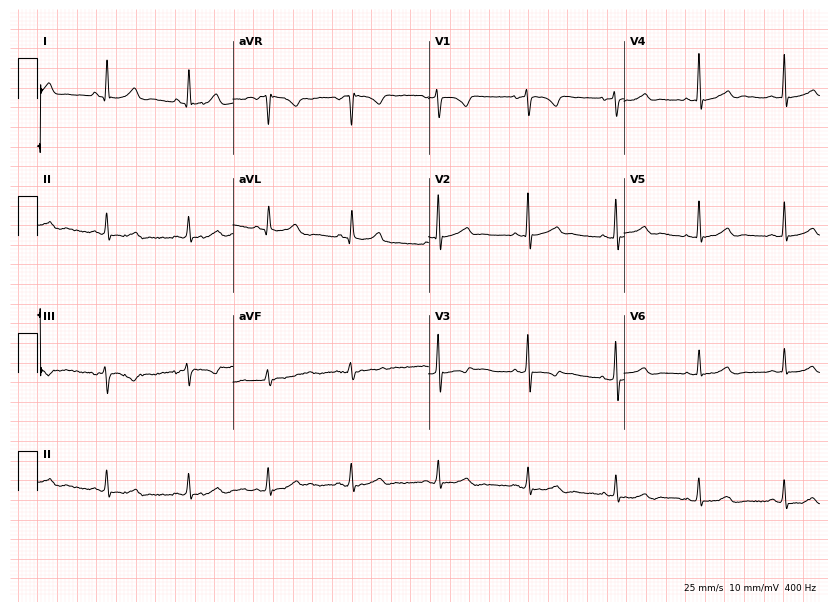
12-lead ECG (8-second recording at 400 Hz) from a 43-year-old female. Labelled as a normal ECG.